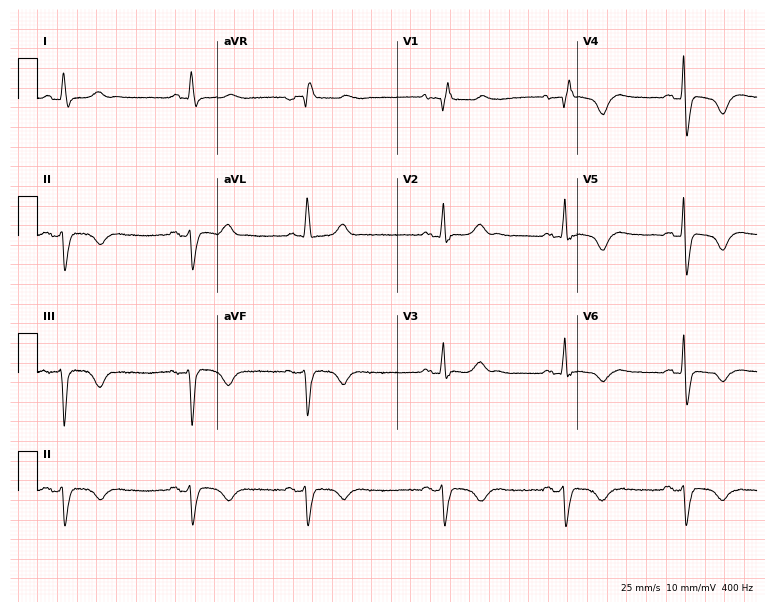
Electrocardiogram (7.3-second recording at 400 Hz), a male, 78 years old. Interpretation includes right bundle branch block, sinus bradycardia (a sinus rate of 50 beats per minute or less).